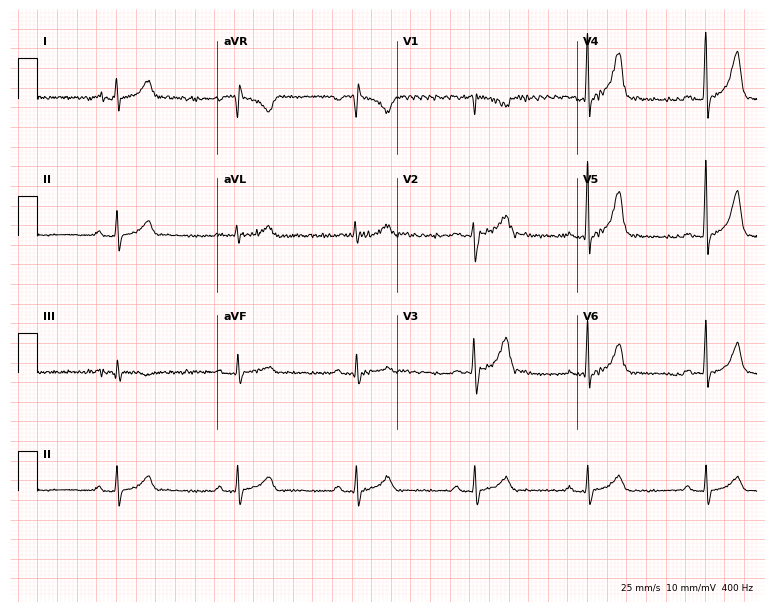
ECG — a man, 28 years old. Screened for six findings — first-degree AV block, right bundle branch block (RBBB), left bundle branch block (LBBB), sinus bradycardia, atrial fibrillation (AF), sinus tachycardia — none is recorded. Findings outside these six are not listed.